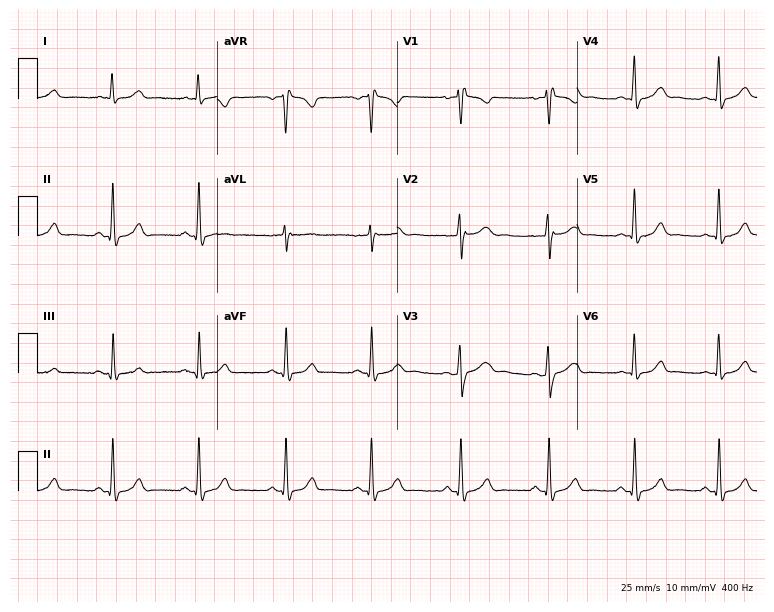
Standard 12-lead ECG recorded from a woman, 33 years old. None of these six findings is recorded: first-degree AV block, right bundle branch block, left bundle branch block, sinus bradycardia, atrial fibrillation, sinus tachycardia. Only these six findings were labelled.